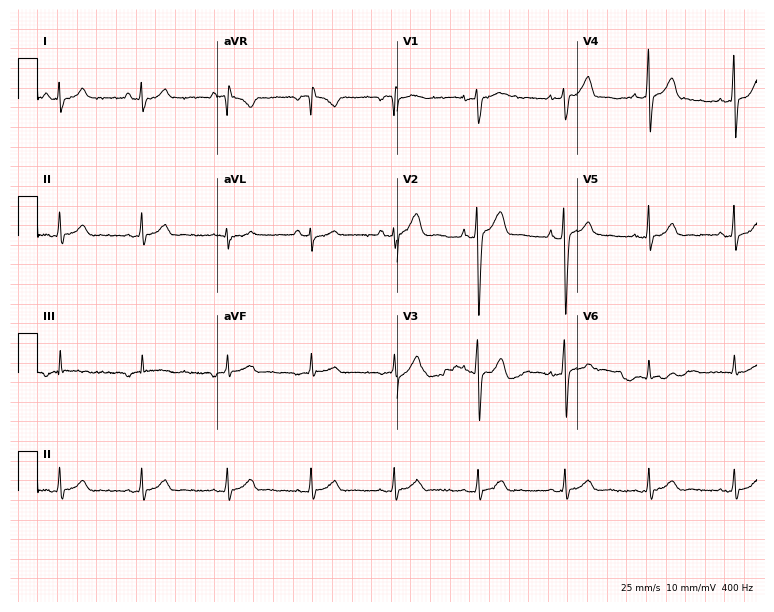
Standard 12-lead ECG recorded from a 34-year-old male (7.3-second recording at 400 Hz). Read as a normal ECG.